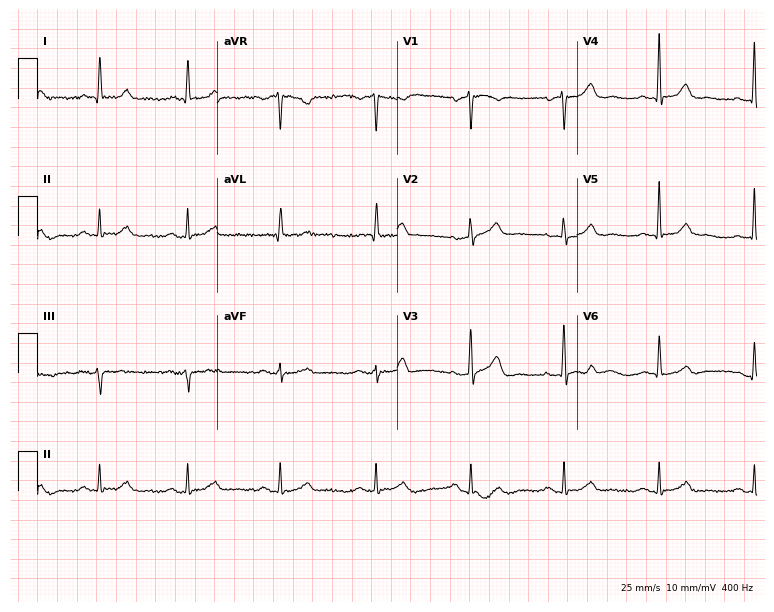
ECG (7.3-second recording at 400 Hz) — a male, 72 years old. Screened for six findings — first-degree AV block, right bundle branch block (RBBB), left bundle branch block (LBBB), sinus bradycardia, atrial fibrillation (AF), sinus tachycardia — none is recorded. Findings outside these six are not listed.